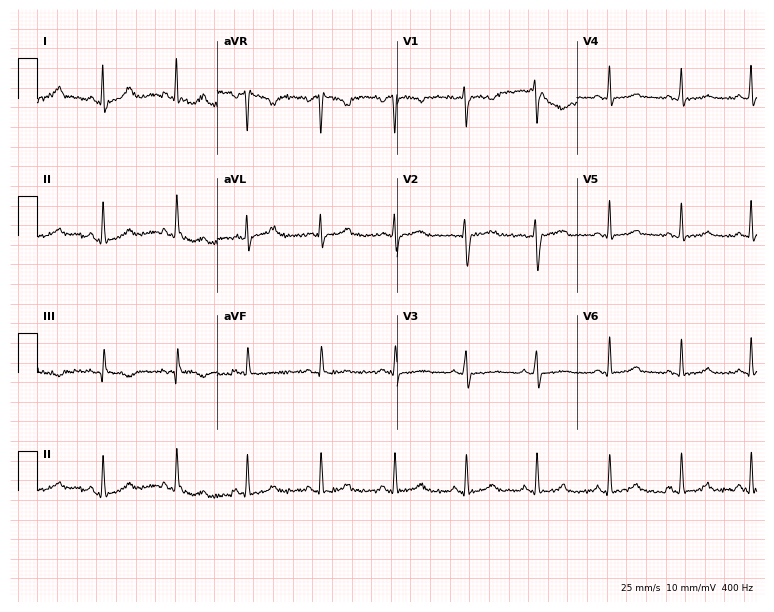
Resting 12-lead electrocardiogram. Patient: a woman, 27 years old. Read as a normal ECG.